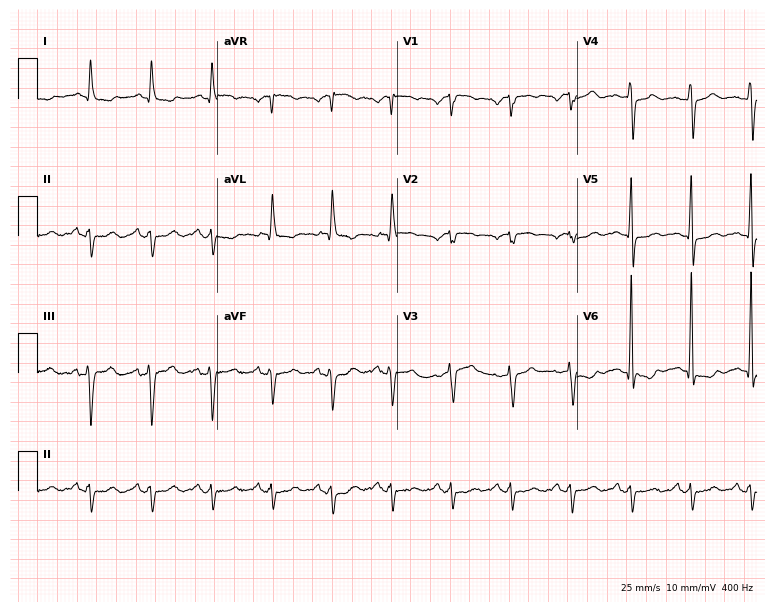
12-lead ECG (7.3-second recording at 400 Hz) from a man, 69 years old. Screened for six findings — first-degree AV block, right bundle branch block, left bundle branch block, sinus bradycardia, atrial fibrillation, sinus tachycardia — none is recorded. Other findings, if any, are not listed.